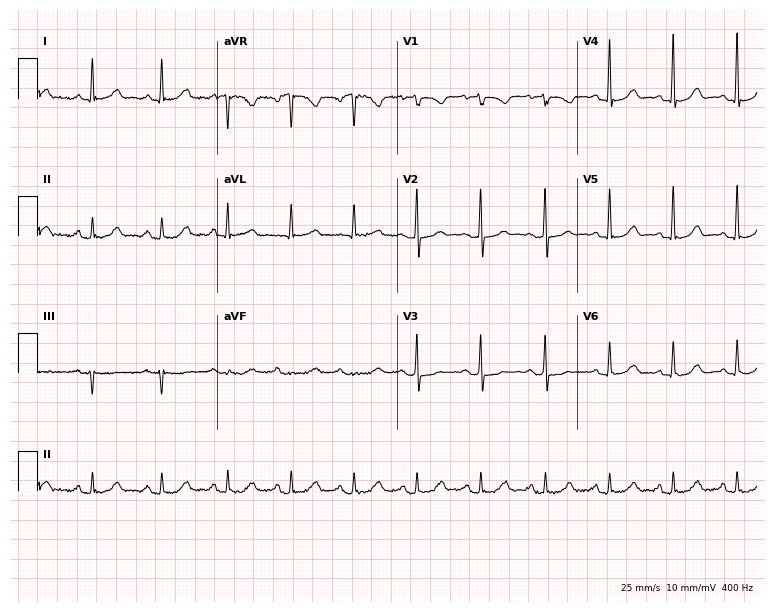
Electrocardiogram, a 49-year-old female patient. Overall reading on record: normal ECG.